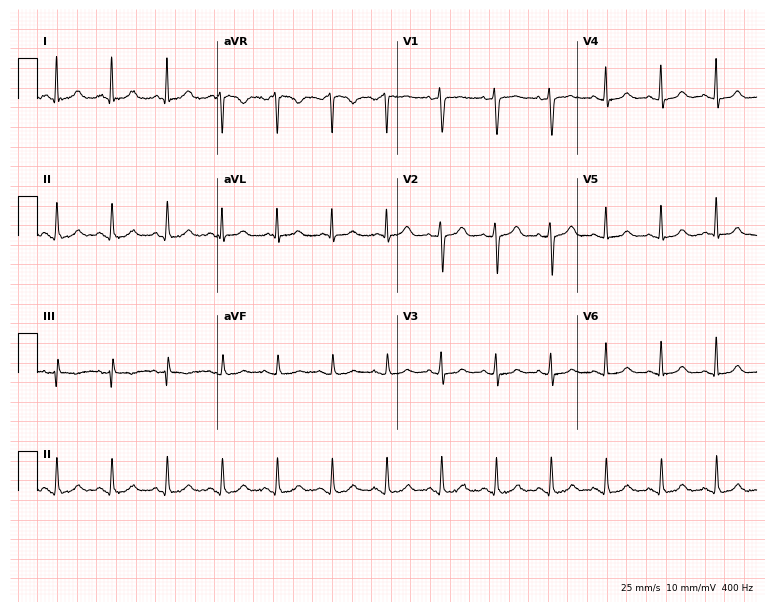
Resting 12-lead electrocardiogram. Patient: a female, 63 years old. The tracing shows sinus tachycardia (a sinus rate of 100 beats per minute or more).